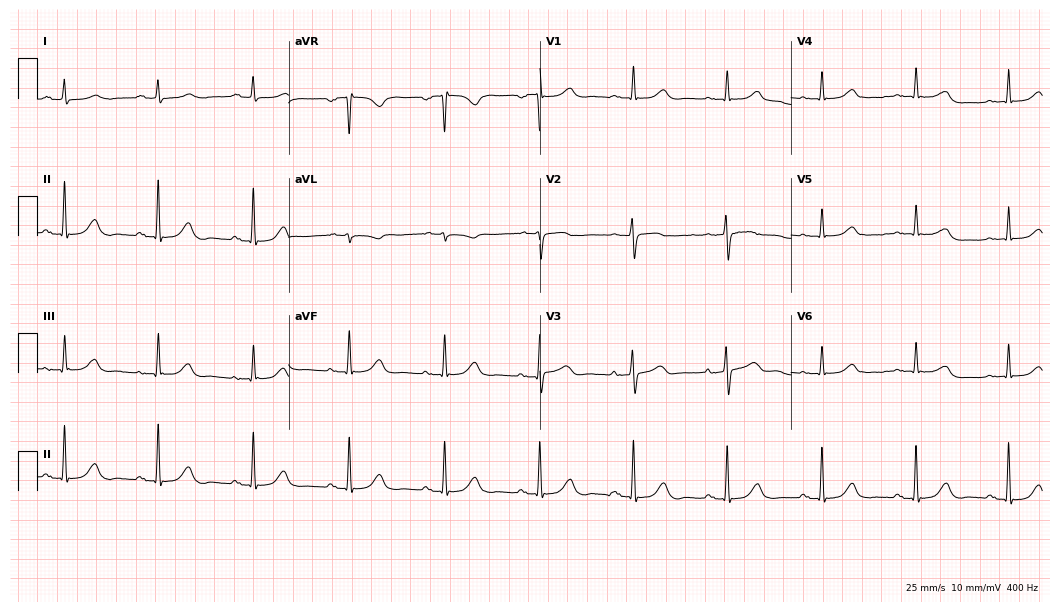
ECG — a female patient, 84 years old. Labelled as a normal ECG.